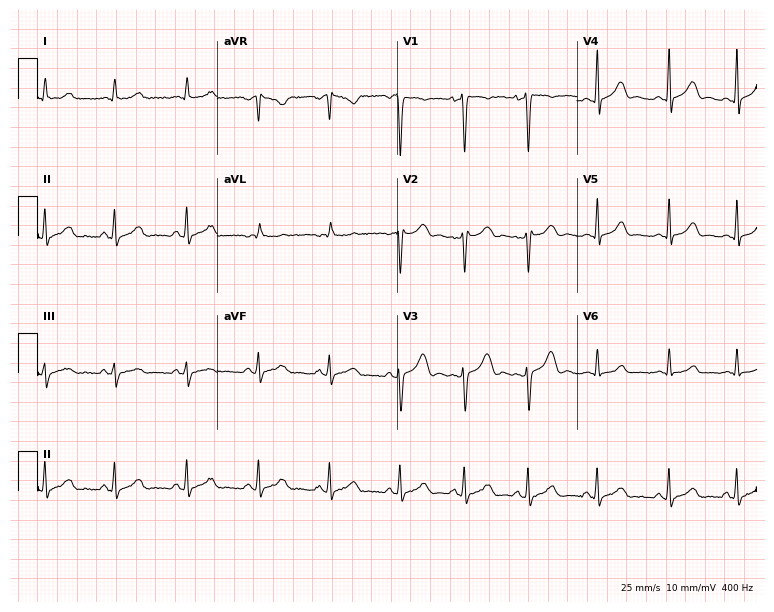
12-lead ECG from a 20-year-old female patient. No first-degree AV block, right bundle branch block, left bundle branch block, sinus bradycardia, atrial fibrillation or sinus tachycardia recorded for this tracing.